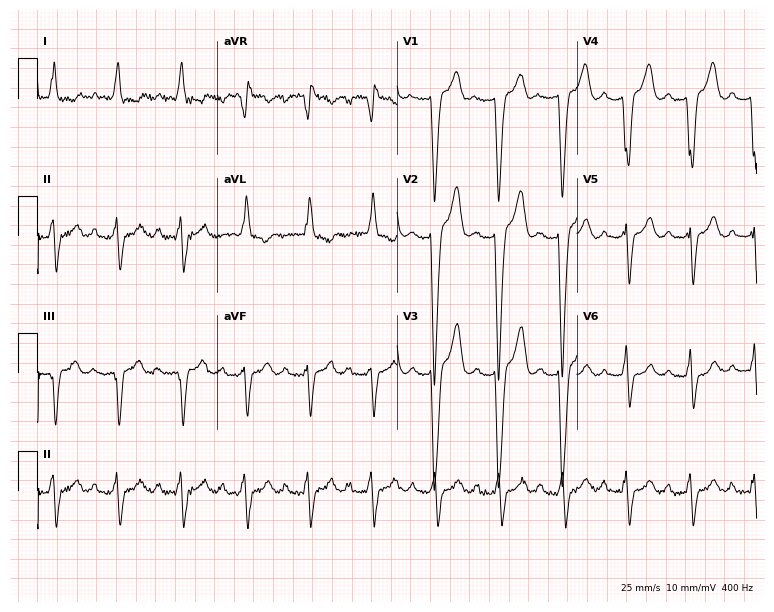
ECG — a female patient, 80 years old. Findings include first-degree AV block.